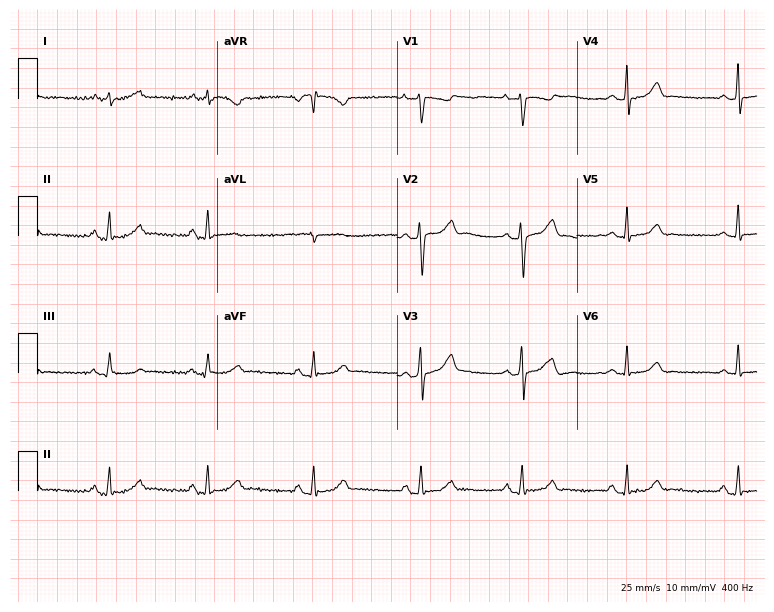
Standard 12-lead ECG recorded from a female, 27 years old (7.3-second recording at 400 Hz). None of these six findings is recorded: first-degree AV block, right bundle branch block (RBBB), left bundle branch block (LBBB), sinus bradycardia, atrial fibrillation (AF), sinus tachycardia. Findings outside these six are not listed.